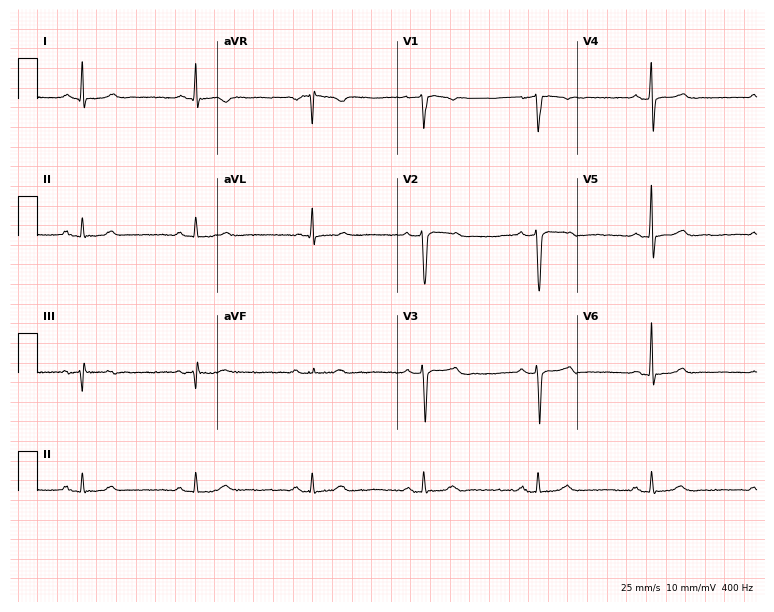
ECG — a man, 62 years old. Findings include sinus bradycardia (a sinus rate of 50 beats per minute or less).